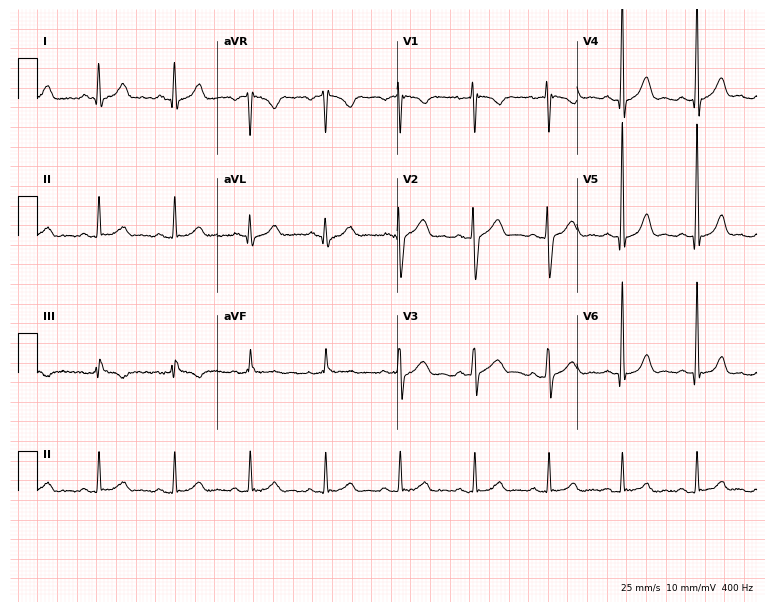
Electrocardiogram (7.3-second recording at 400 Hz), a 34-year-old man. Of the six screened findings (first-degree AV block, right bundle branch block, left bundle branch block, sinus bradycardia, atrial fibrillation, sinus tachycardia), none is recorded. Other findings, if any, are not listed.